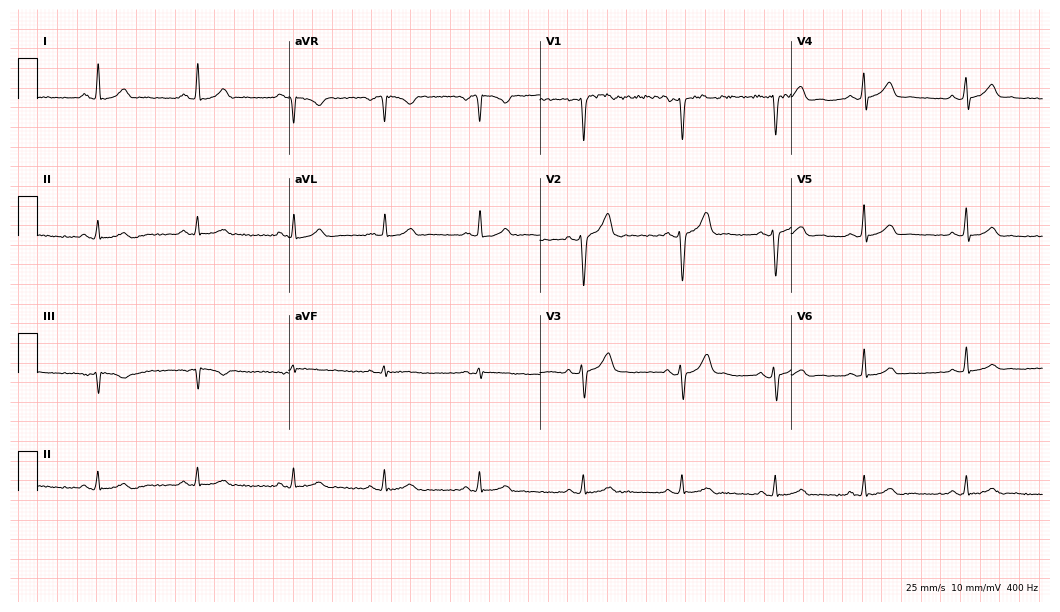
12-lead ECG from a male, 29 years old (10.2-second recording at 400 Hz). Recorded interpretation: within normal limits.